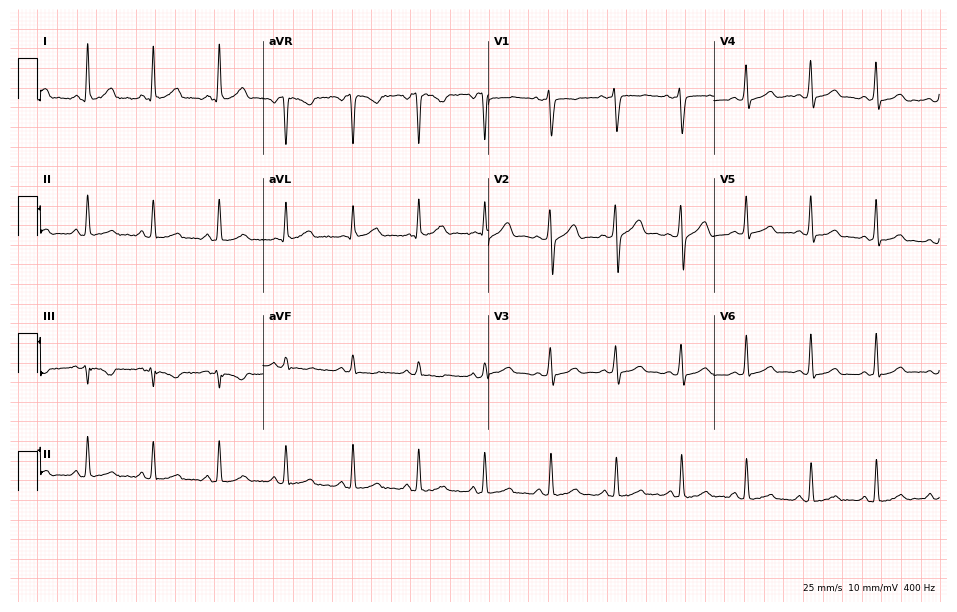
Electrocardiogram (9.2-second recording at 400 Hz), a woman, 35 years old. Overall reading on record: normal ECG.